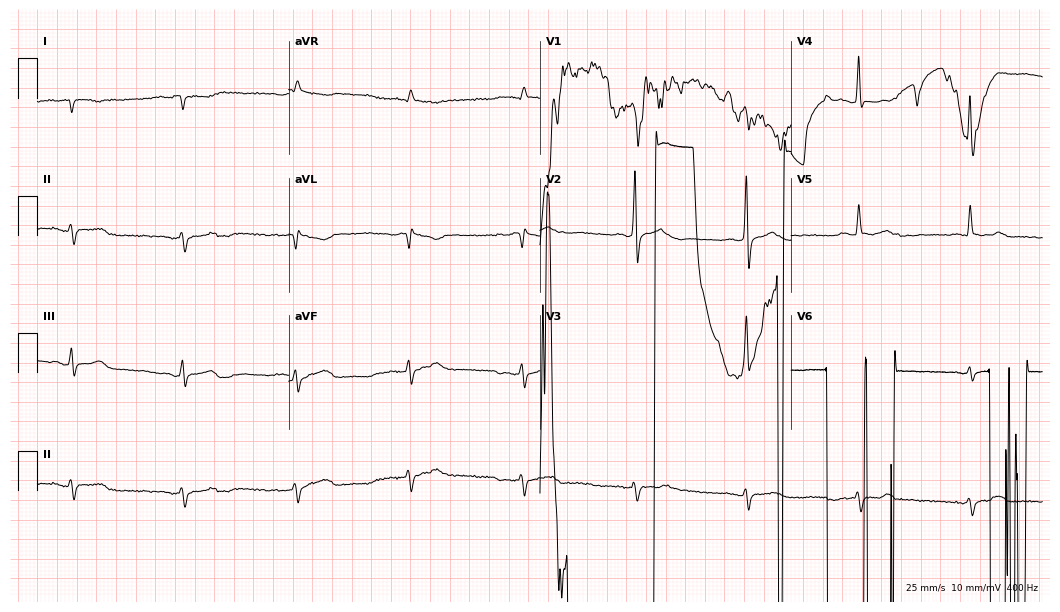
Electrocardiogram, a male, 68 years old. Of the six screened findings (first-degree AV block, right bundle branch block, left bundle branch block, sinus bradycardia, atrial fibrillation, sinus tachycardia), none is recorded. Only these six findings were labelled.